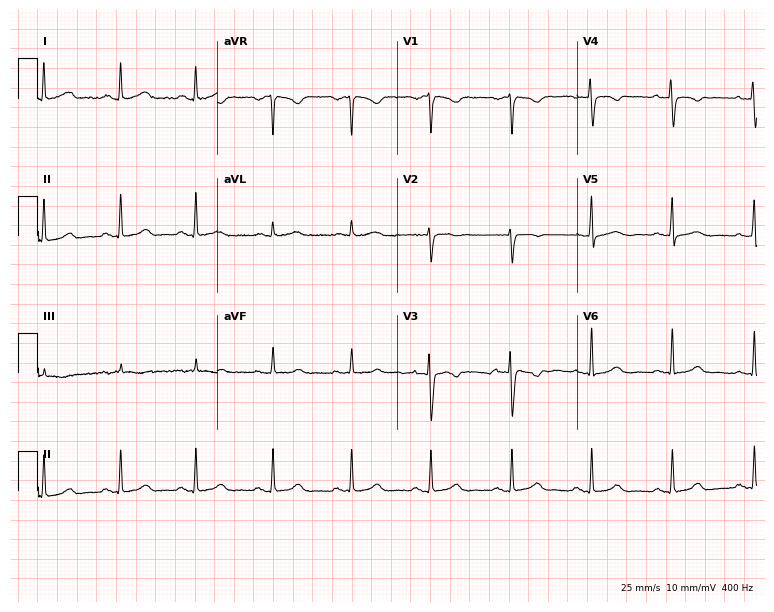
Standard 12-lead ECG recorded from a female patient, 51 years old (7.3-second recording at 400 Hz). Read as a normal ECG.